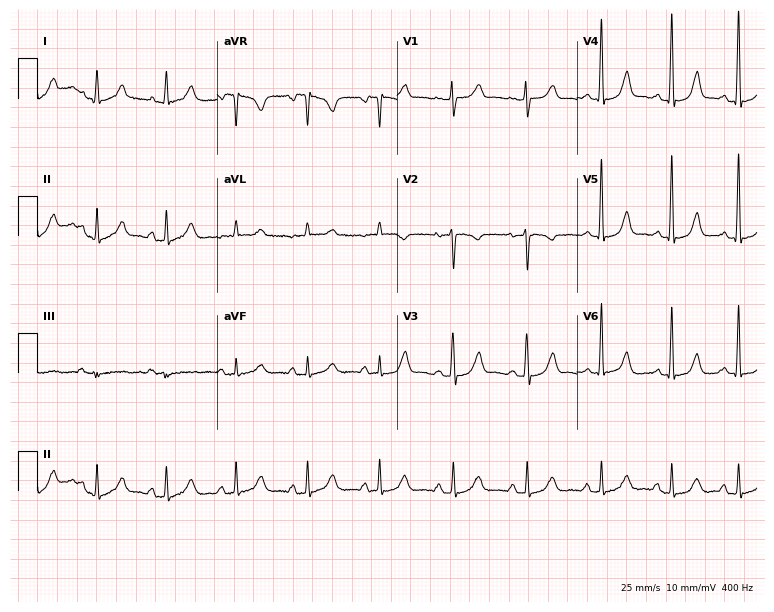
ECG — a female patient, 47 years old. Screened for six findings — first-degree AV block, right bundle branch block (RBBB), left bundle branch block (LBBB), sinus bradycardia, atrial fibrillation (AF), sinus tachycardia — none is recorded.